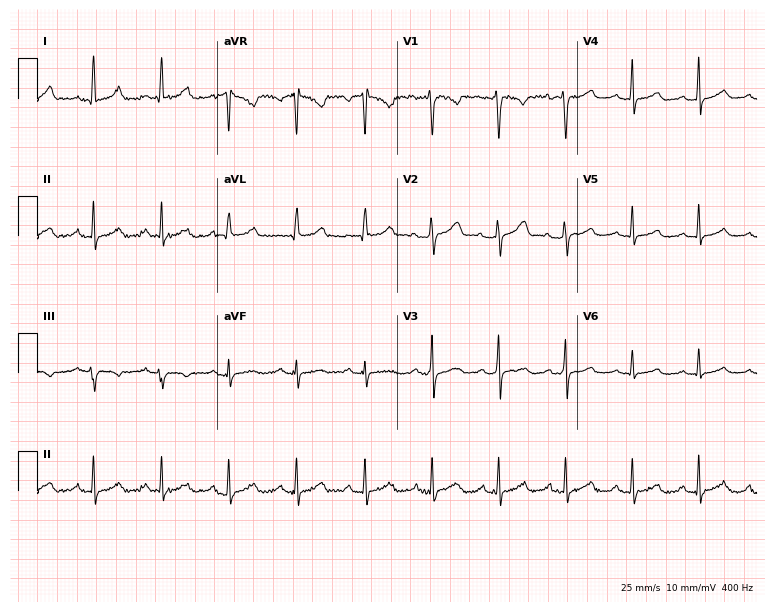
Resting 12-lead electrocardiogram (7.3-second recording at 400 Hz). Patient: a female, 32 years old. Read as a normal ECG.